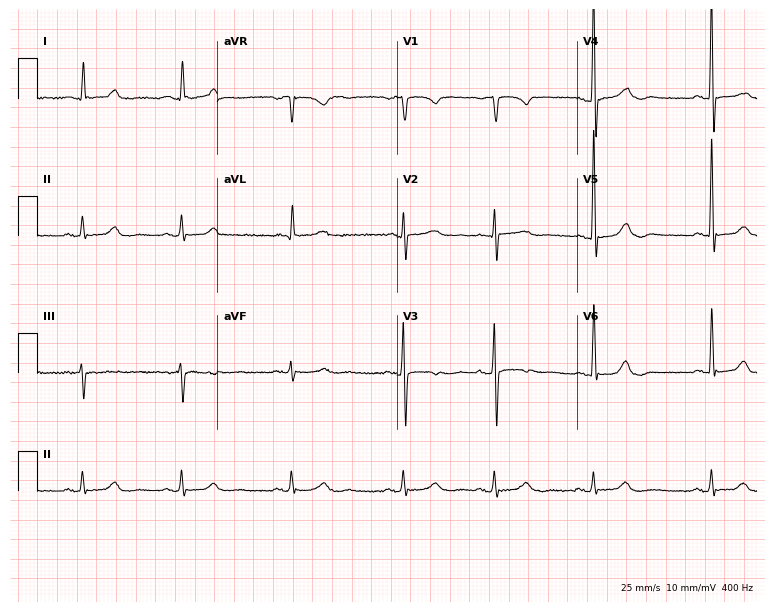
12-lead ECG from a female, 71 years old (7.3-second recording at 400 Hz). Recorded interpretation: within normal limits.